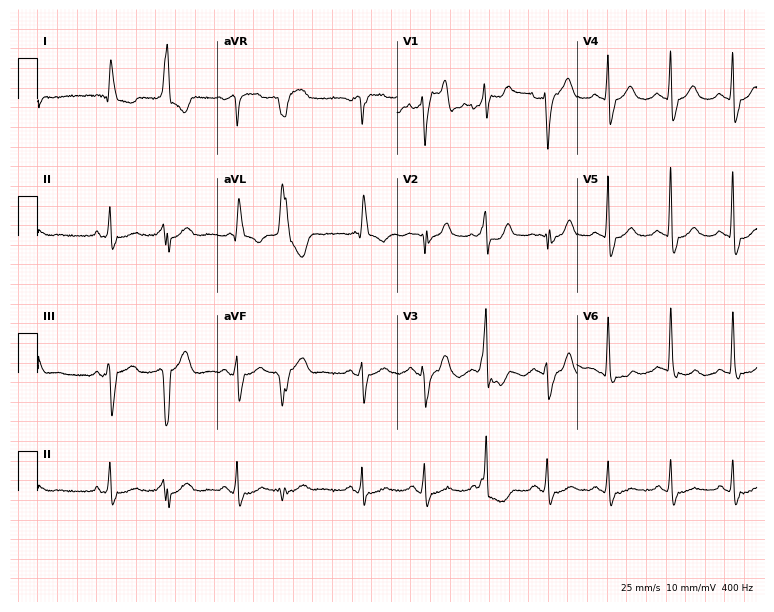
Resting 12-lead electrocardiogram. Patient: a female, 82 years old. None of these six findings is recorded: first-degree AV block, right bundle branch block, left bundle branch block, sinus bradycardia, atrial fibrillation, sinus tachycardia.